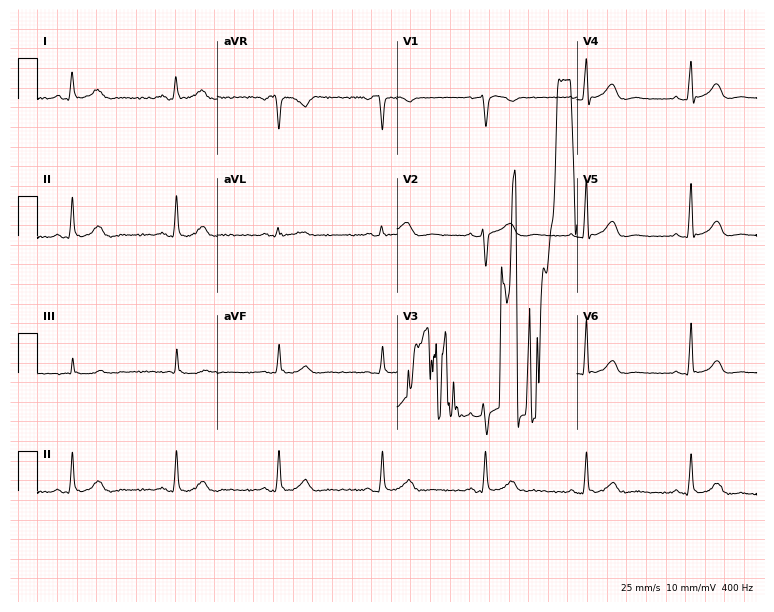
Standard 12-lead ECG recorded from a woman, 54 years old. None of these six findings is recorded: first-degree AV block, right bundle branch block (RBBB), left bundle branch block (LBBB), sinus bradycardia, atrial fibrillation (AF), sinus tachycardia. Only these six findings were labelled.